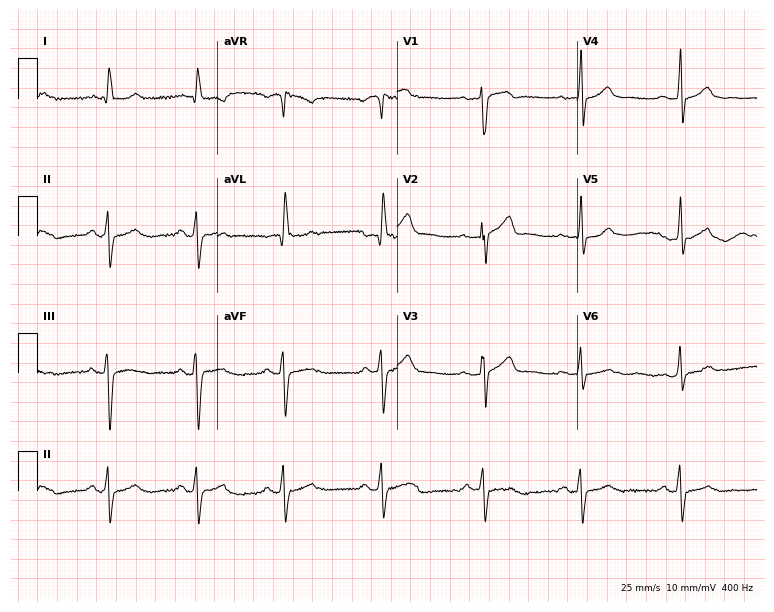
ECG — a 60-year-old male. Screened for six findings — first-degree AV block, right bundle branch block, left bundle branch block, sinus bradycardia, atrial fibrillation, sinus tachycardia — none is recorded.